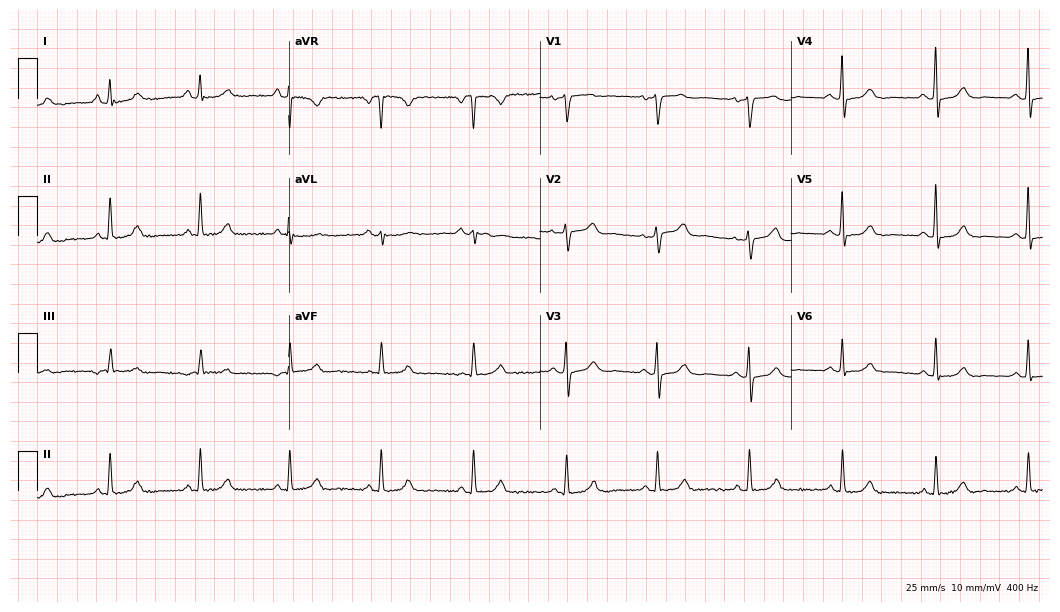
Standard 12-lead ECG recorded from a woman, 59 years old (10.2-second recording at 400 Hz). None of these six findings is recorded: first-degree AV block, right bundle branch block, left bundle branch block, sinus bradycardia, atrial fibrillation, sinus tachycardia.